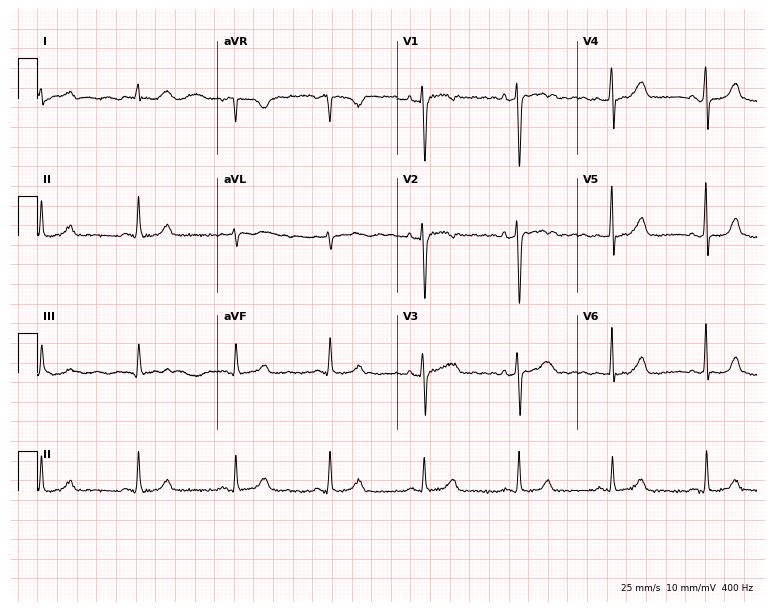
12-lead ECG from a female, 48 years old. Screened for six findings — first-degree AV block, right bundle branch block, left bundle branch block, sinus bradycardia, atrial fibrillation, sinus tachycardia — none is recorded. Only these six findings were labelled.